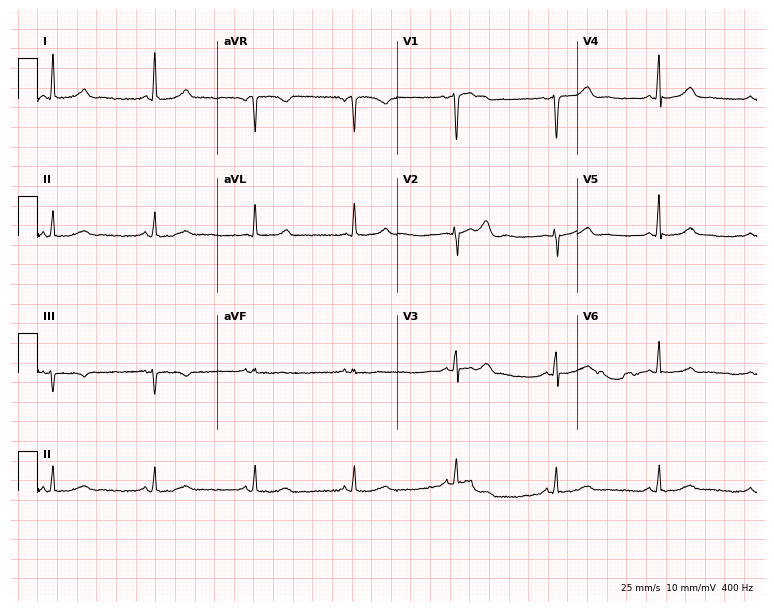
12-lead ECG from a 65-year-old female patient. No first-degree AV block, right bundle branch block, left bundle branch block, sinus bradycardia, atrial fibrillation or sinus tachycardia recorded for this tracing. Only these six findings were labelled.